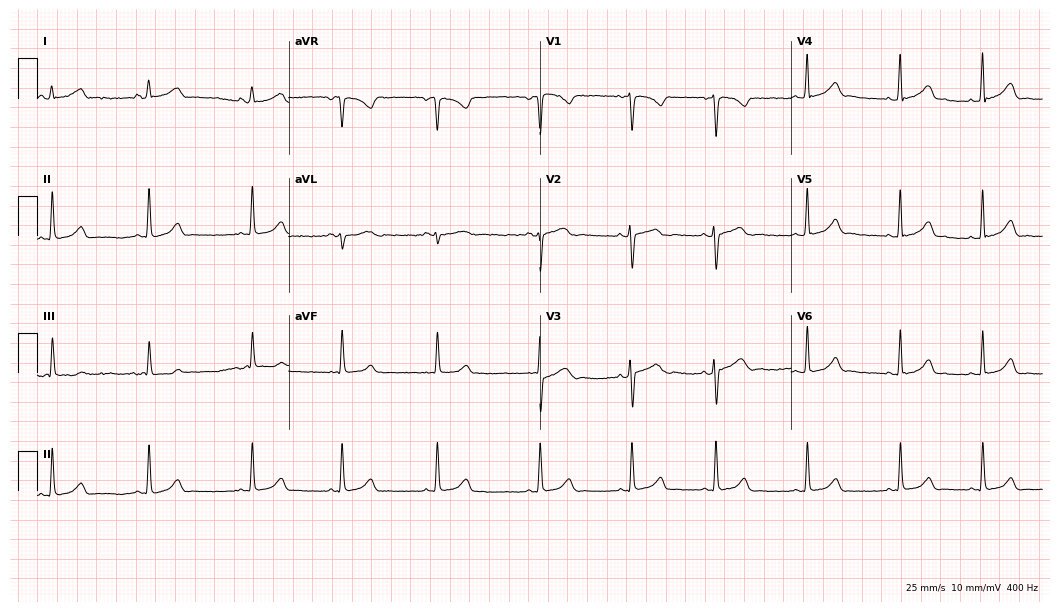
12-lead ECG from a female patient, 20 years old. Recorded interpretation: within normal limits.